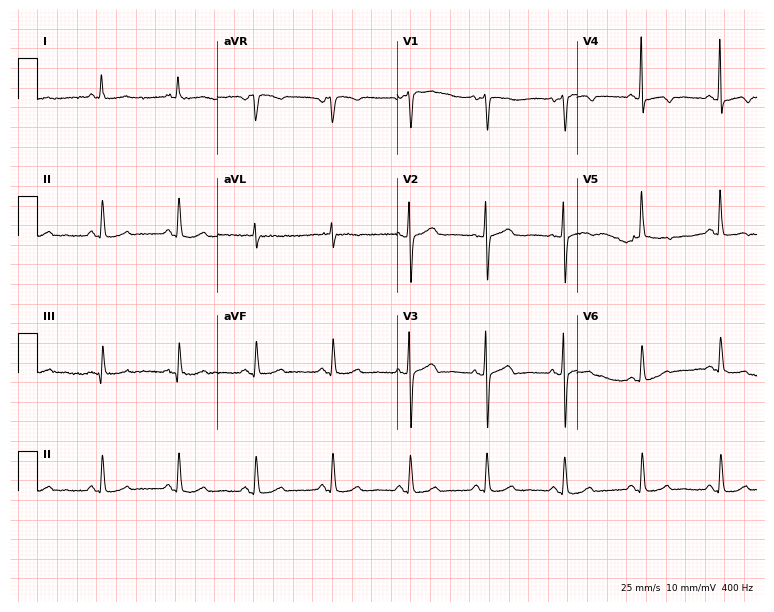
ECG — an 82-year-old female patient. Screened for six findings — first-degree AV block, right bundle branch block, left bundle branch block, sinus bradycardia, atrial fibrillation, sinus tachycardia — none is recorded.